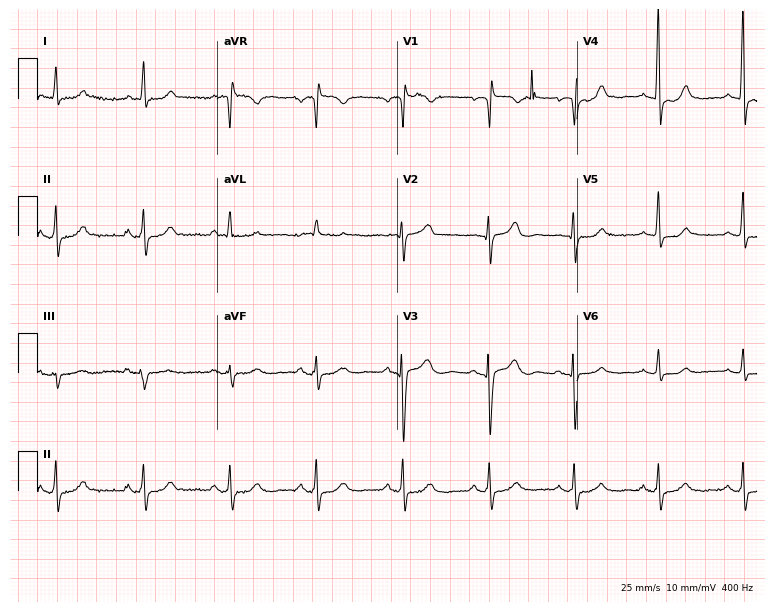
Electrocardiogram, a woman, 61 years old. Of the six screened findings (first-degree AV block, right bundle branch block, left bundle branch block, sinus bradycardia, atrial fibrillation, sinus tachycardia), none is recorded.